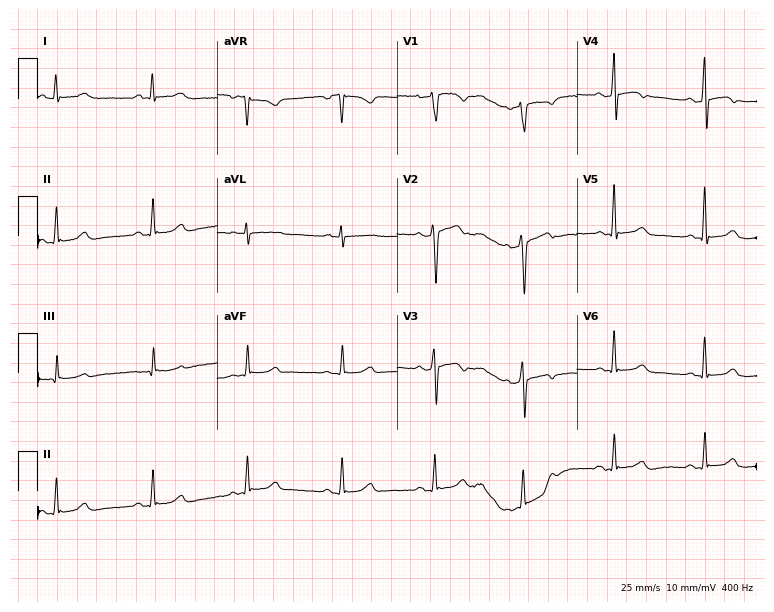
Resting 12-lead electrocardiogram. Patient: a 57-year-old female. None of these six findings is recorded: first-degree AV block, right bundle branch block, left bundle branch block, sinus bradycardia, atrial fibrillation, sinus tachycardia. Only these six findings were labelled.